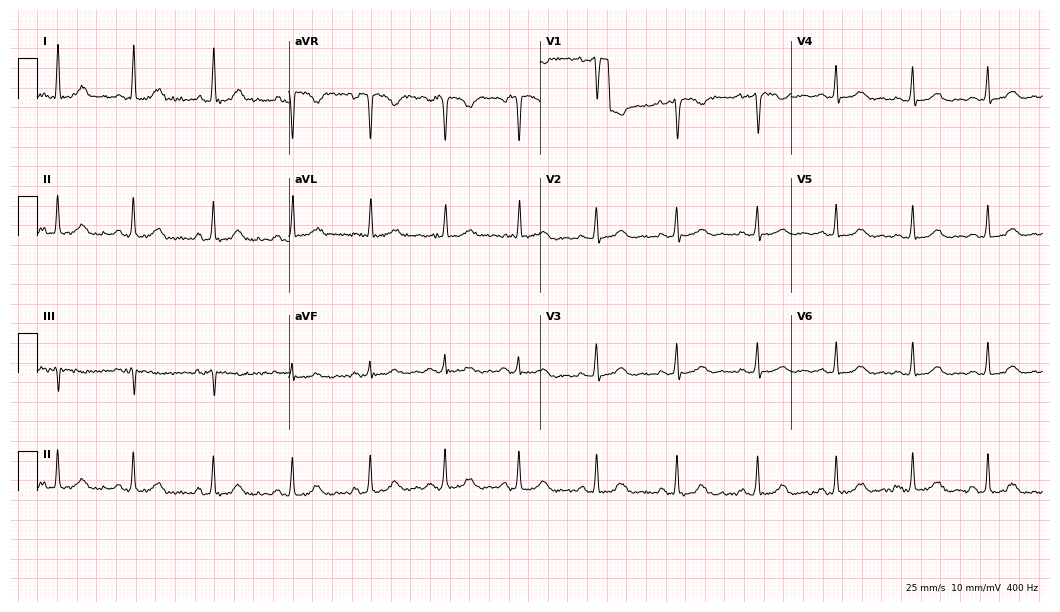
12-lead ECG from a 39-year-old female. Screened for six findings — first-degree AV block, right bundle branch block, left bundle branch block, sinus bradycardia, atrial fibrillation, sinus tachycardia — none is recorded.